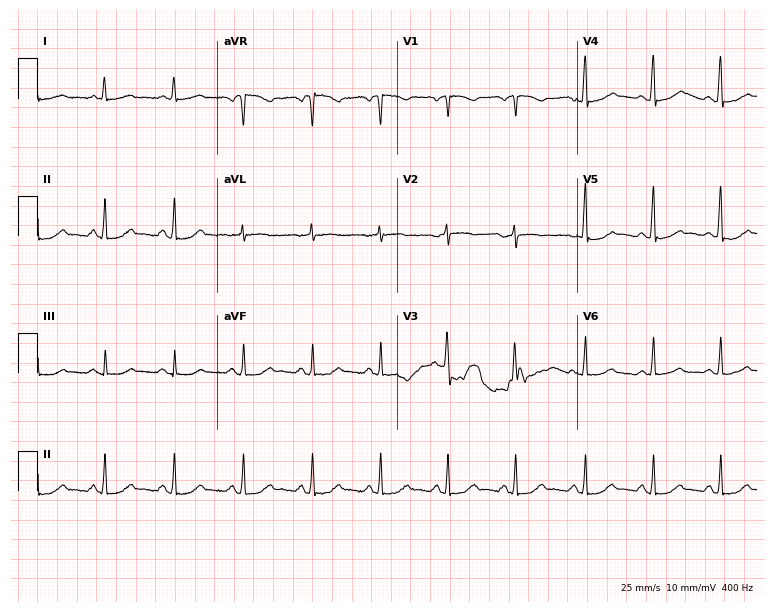
12-lead ECG (7.3-second recording at 400 Hz) from a female, 57 years old. Screened for six findings — first-degree AV block, right bundle branch block (RBBB), left bundle branch block (LBBB), sinus bradycardia, atrial fibrillation (AF), sinus tachycardia — none is recorded. Other findings, if any, are not listed.